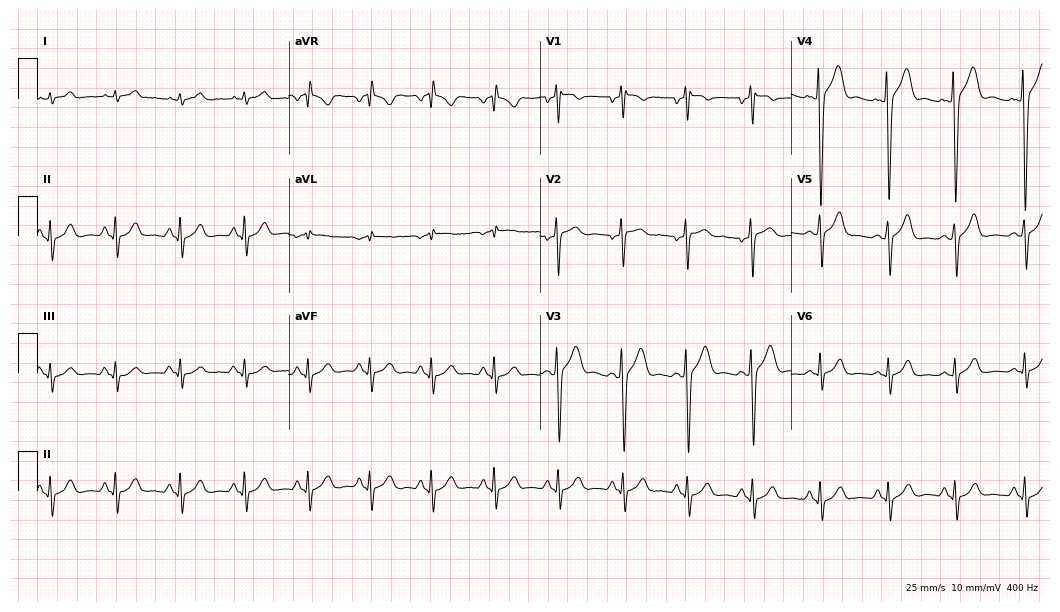
12-lead ECG from a 23-year-old man. Screened for six findings — first-degree AV block, right bundle branch block, left bundle branch block, sinus bradycardia, atrial fibrillation, sinus tachycardia — none is recorded. Findings outside these six are not listed.